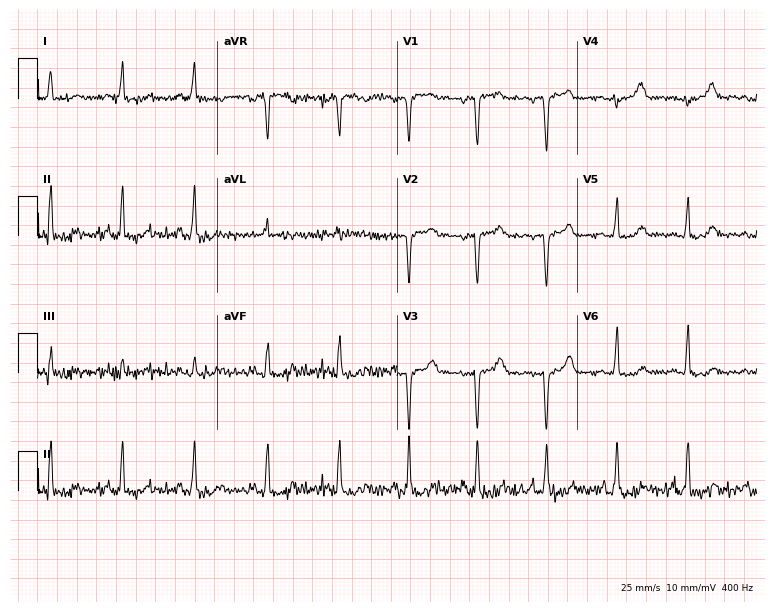
12-lead ECG from a female, 47 years old. Screened for six findings — first-degree AV block, right bundle branch block, left bundle branch block, sinus bradycardia, atrial fibrillation, sinus tachycardia — none is recorded.